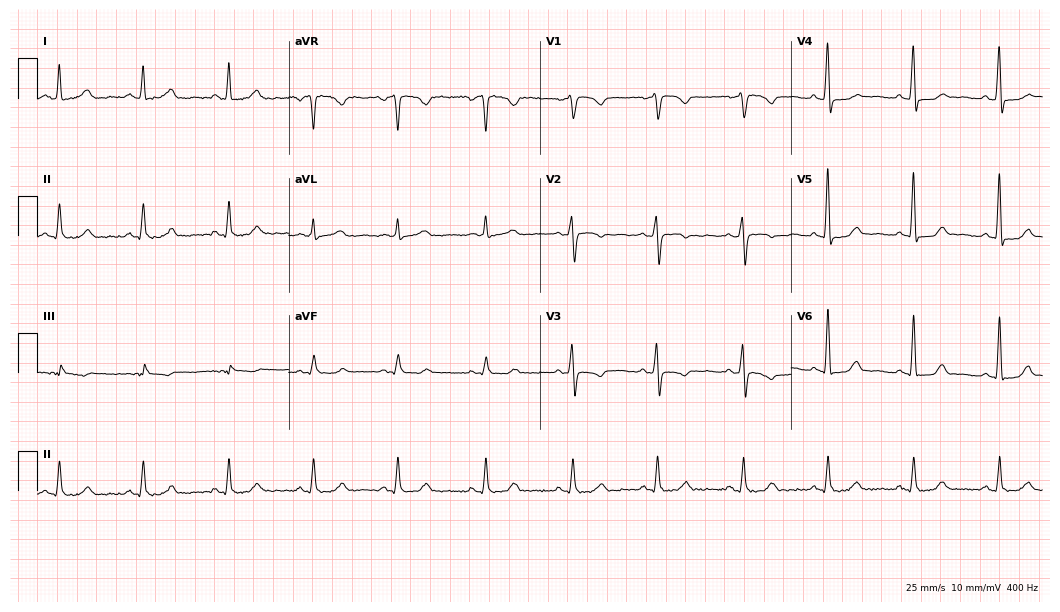
Resting 12-lead electrocardiogram. Patient: a 57-year-old female. None of these six findings is recorded: first-degree AV block, right bundle branch block, left bundle branch block, sinus bradycardia, atrial fibrillation, sinus tachycardia. Only these six findings were labelled.